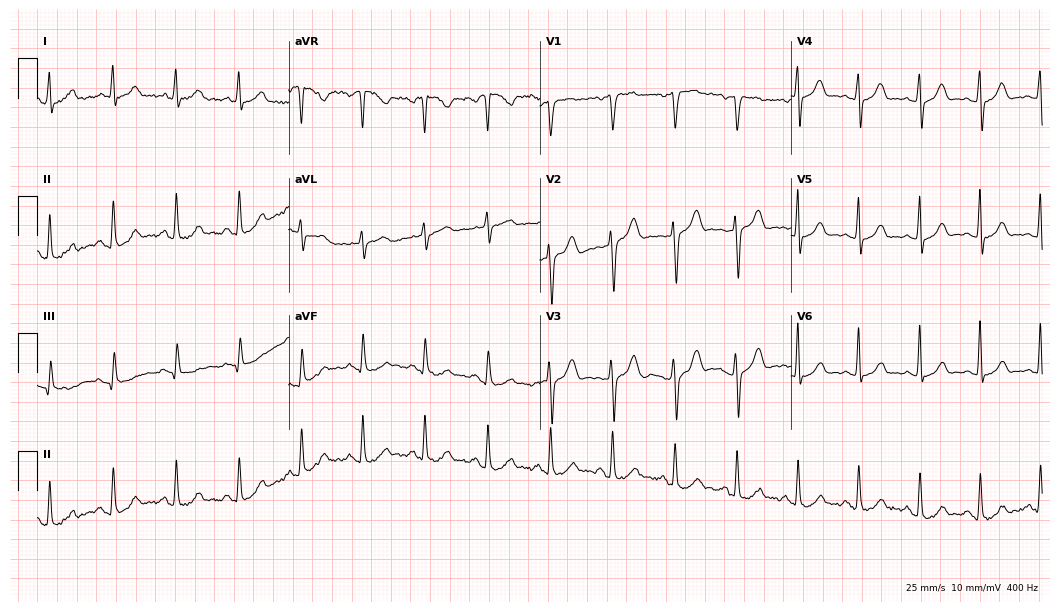
12-lead ECG (10.2-second recording at 400 Hz) from a 38-year-old female patient. Labelled as a normal ECG.